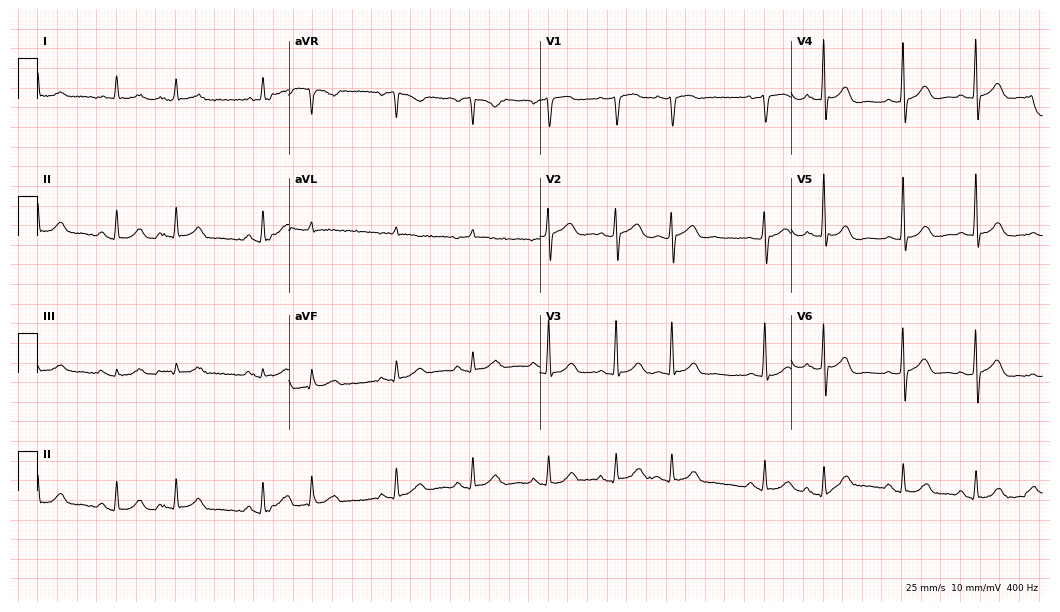
ECG (10.2-second recording at 400 Hz) — a male, 67 years old. Screened for six findings — first-degree AV block, right bundle branch block, left bundle branch block, sinus bradycardia, atrial fibrillation, sinus tachycardia — none is recorded. Other findings, if any, are not listed.